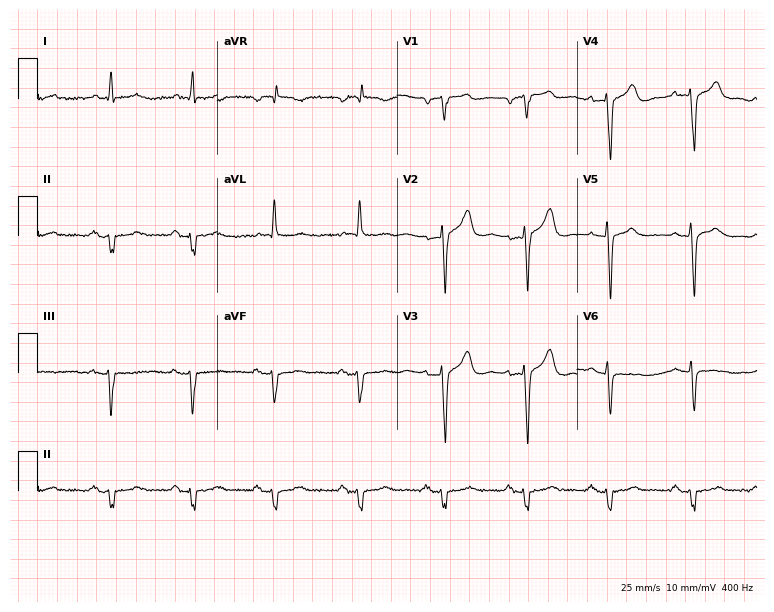
12-lead ECG from a male patient, 71 years old. Screened for six findings — first-degree AV block, right bundle branch block, left bundle branch block, sinus bradycardia, atrial fibrillation, sinus tachycardia — none is recorded.